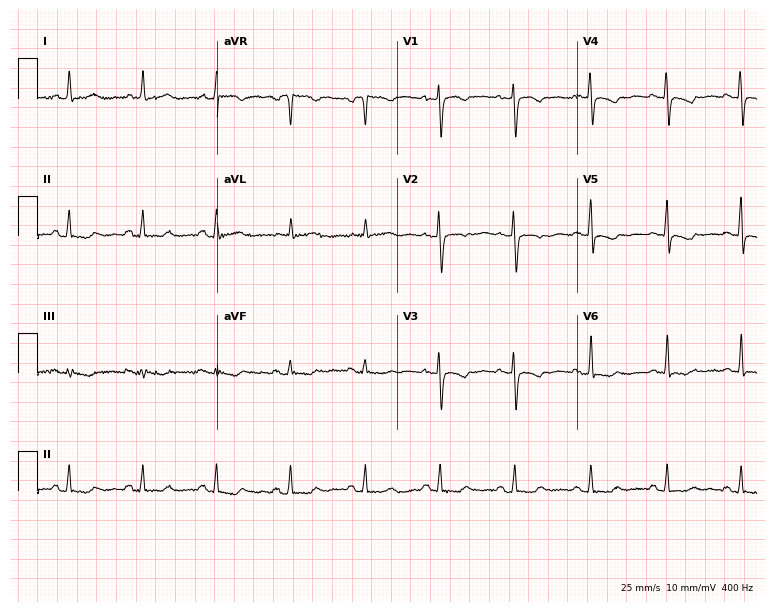
ECG — a female, 50 years old. Labelled as a normal ECG.